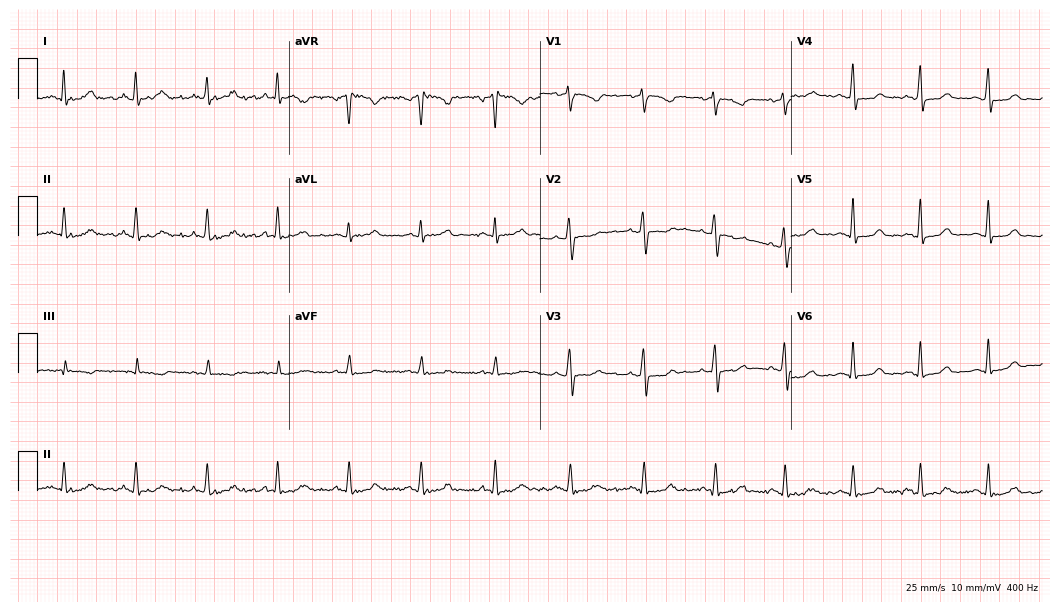
12-lead ECG from a woman, 38 years old. No first-degree AV block, right bundle branch block (RBBB), left bundle branch block (LBBB), sinus bradycardia, atrial fibrillation (AF) or sinus tachycardia recorded for this tracing. Only these six findings were labelled.